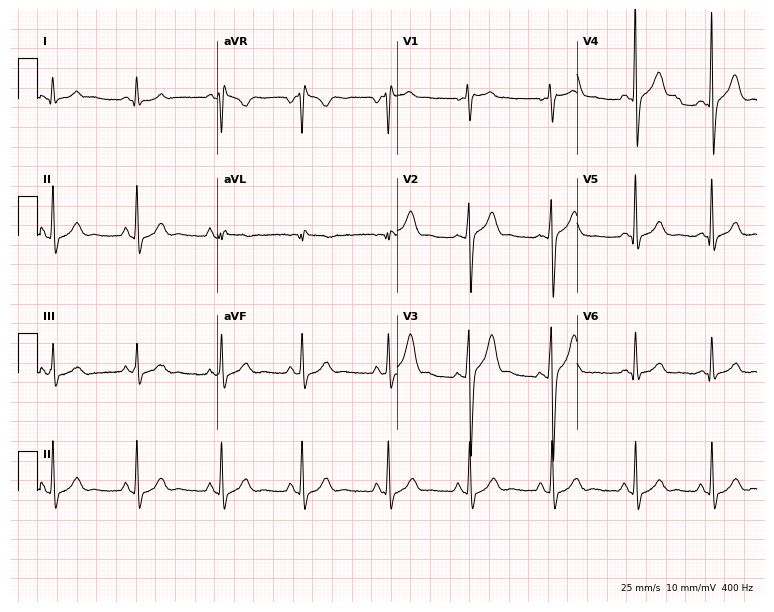
12-lead ECG from a 28-year-old man (7.3-second recording at 400 Hz). Recorded interpretation: within normal limits.